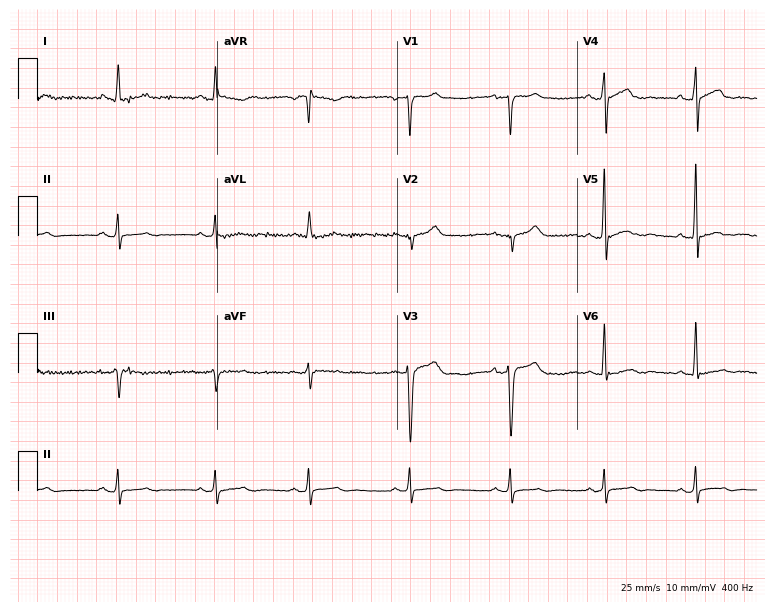
Resting 12-lead electrocardiogram. Patient: a male, 43 years old. None of these six findings is recorded: first-degree AV block, right bundle branch block, left bundle branch block, sinus bradycardia, atrial fibrillation, sinus tachycardia. Other findings, if any, are not listed.